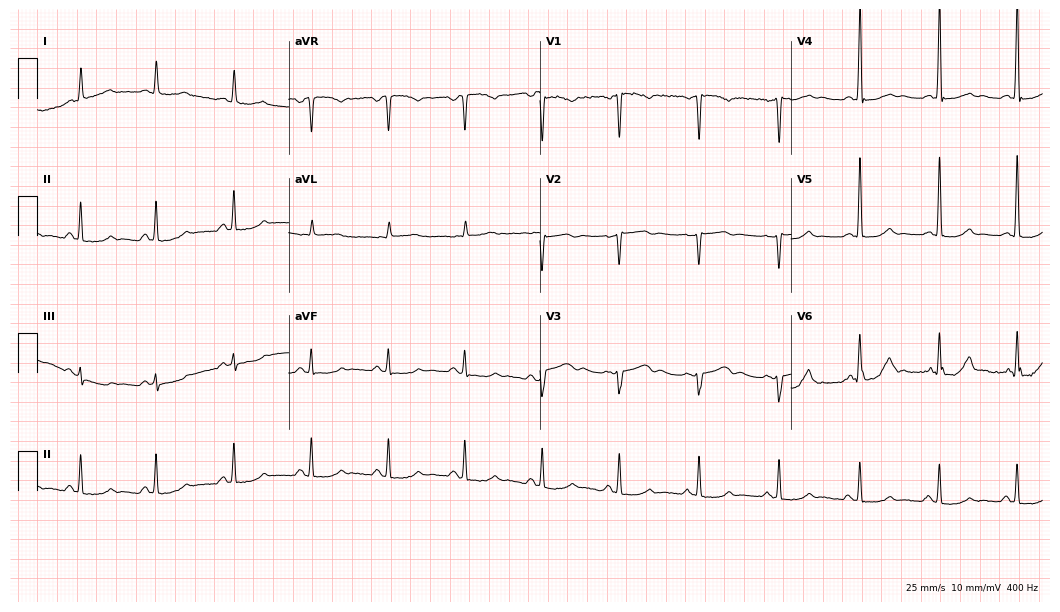
Electrocardiogram, a 42-year-old female. Of the six screened findings (first-degree AV block, right bundle branch block, left bundle branch block, sinus bradycardia, atrial fibrillation, sinus tachycardia), none is recorded.